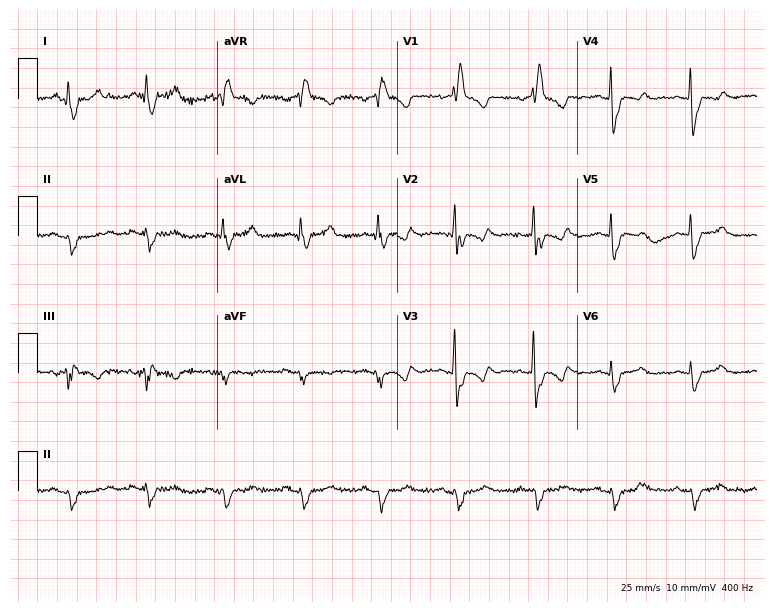
Electrocardiogram, a woman, 80 years old. Interpretation includes right bundle branch block.